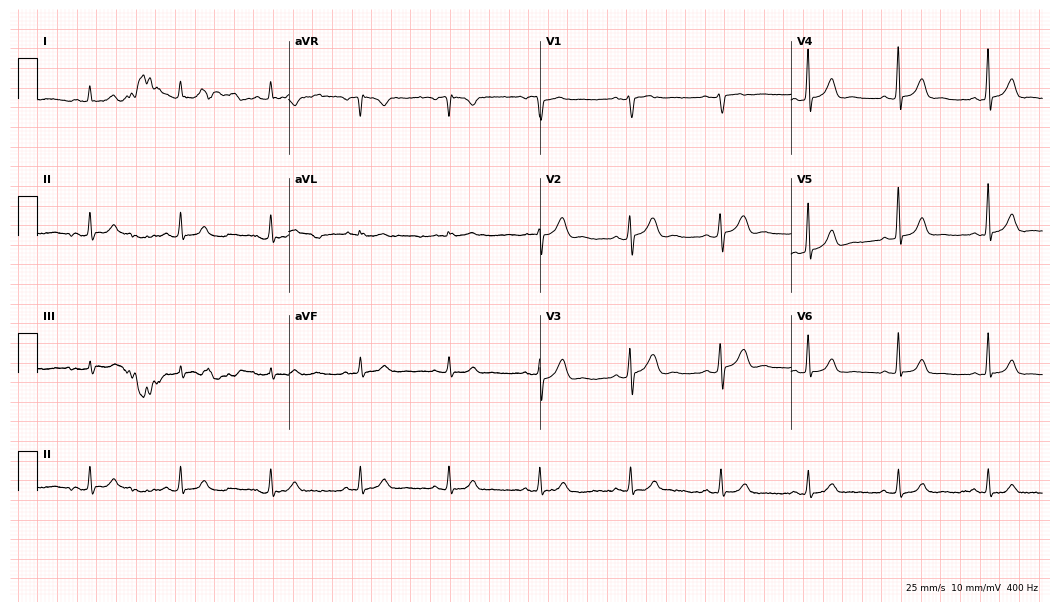
Resting 12-lead electrocardiogram. Patient: a male, 60 years old. Read as a normal ECG.